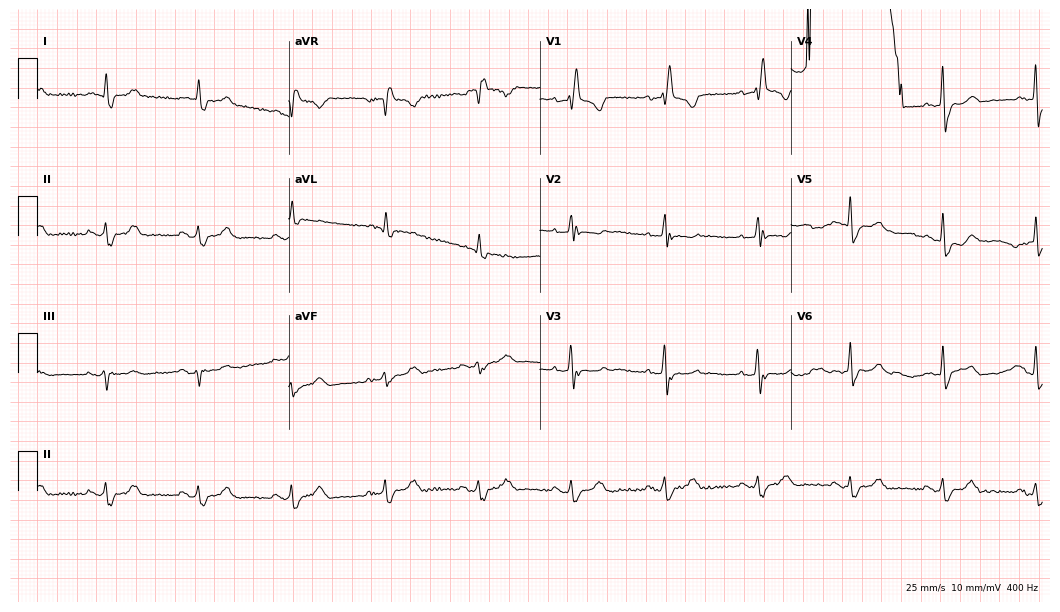
ECG — an 85-year-old male. Findings include right bundle branch block (RBBB).